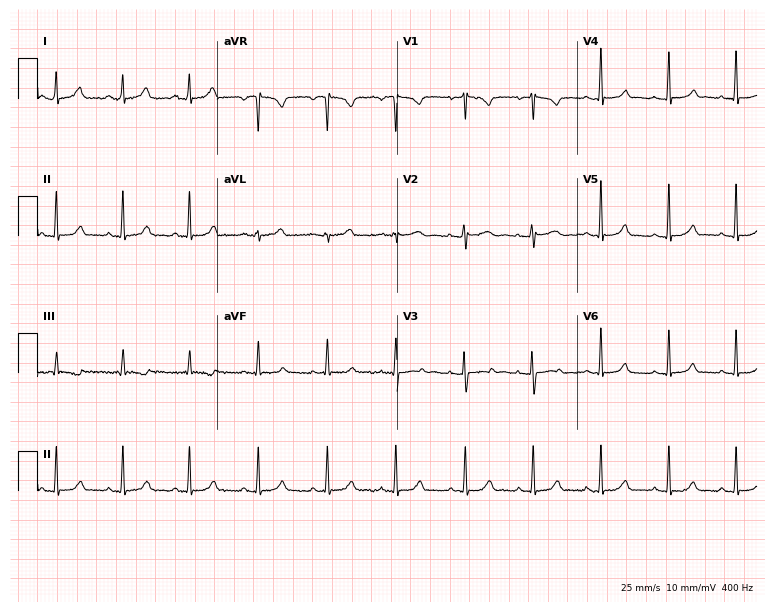
12-lead ECG from a 23-year-old female. Recorded interpretation: within normal limits.